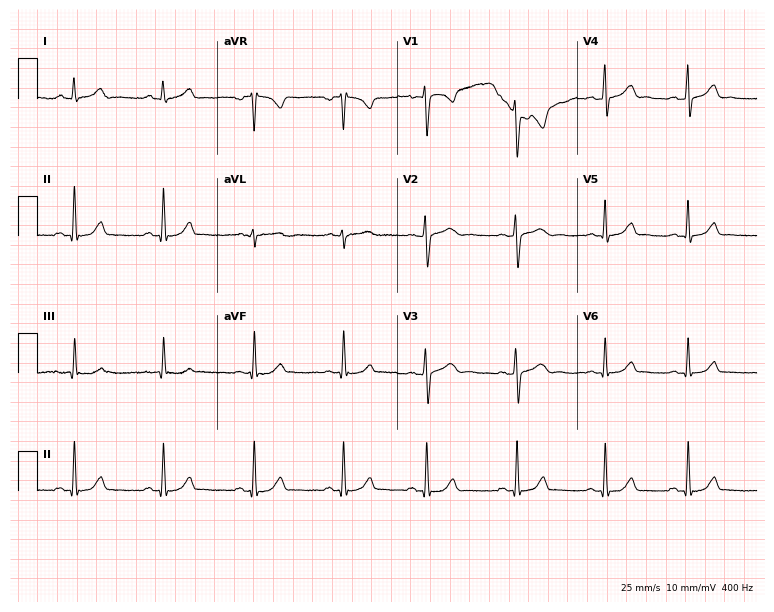
12-lead ECG from a 23-year-old female. No first-degree AV block, right bundle branch block, left bundle branch block, sinus bradycardia, atrial fibrillation or sinus tachycardia recorded for this tracing. Only these six findings were labelled.